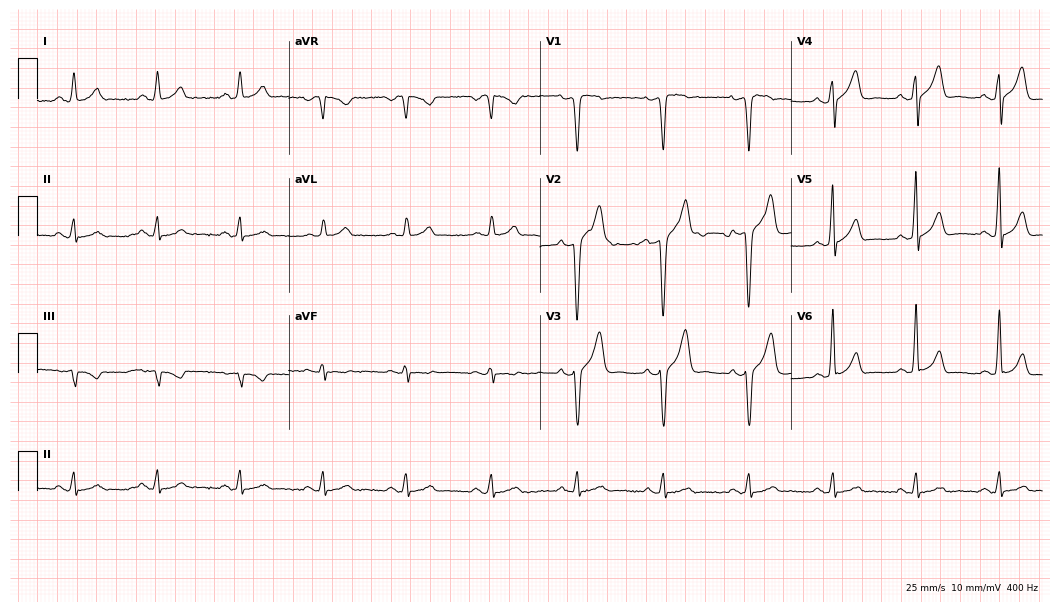
Standard 12-lead ECG recorded from a male patient, 41 years old. None of these six findings is recorded: first-degree AV block, right bundle branch block, left bundle branch block, sinus bradycardia, atrial fibrillation, sinus tachycardia.